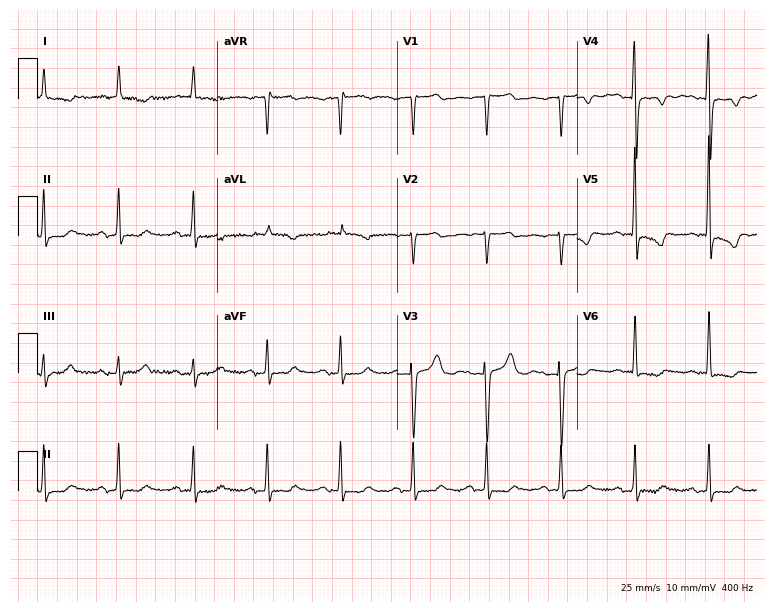
12-lead ECG from a 78-year-old female. Screened for six findings — first-degree AV block, right bundle branch block, left bundle branch block, sinus bradycardia, atrial fibrillation, sinus tachycardia — none is recorded.